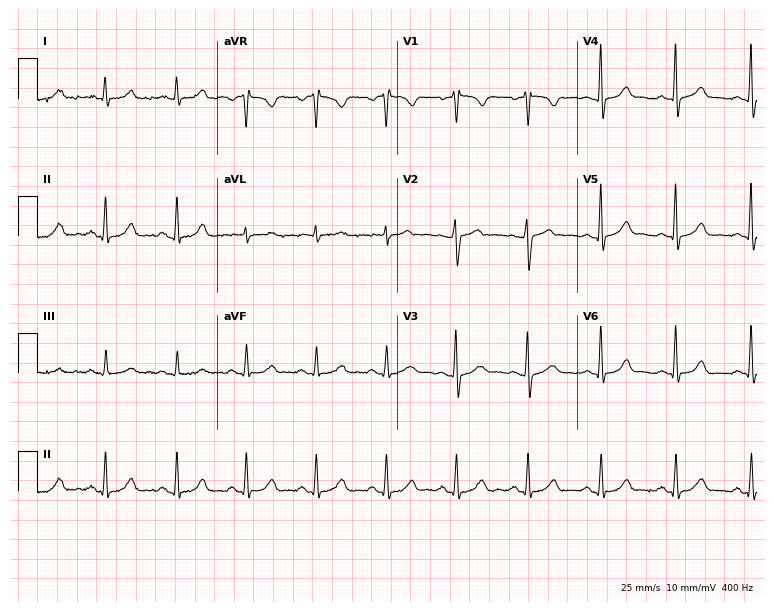
12-lead ECG from a female patient, 43 years old (7.3-second recording at 400 Hz). No first-degree AV block, right bundle branch block, left bundle branch block, sinus bradycardia, atrial fibrillation or sinus tachycardia recorded for this tracing. Only these six findings were labelled.